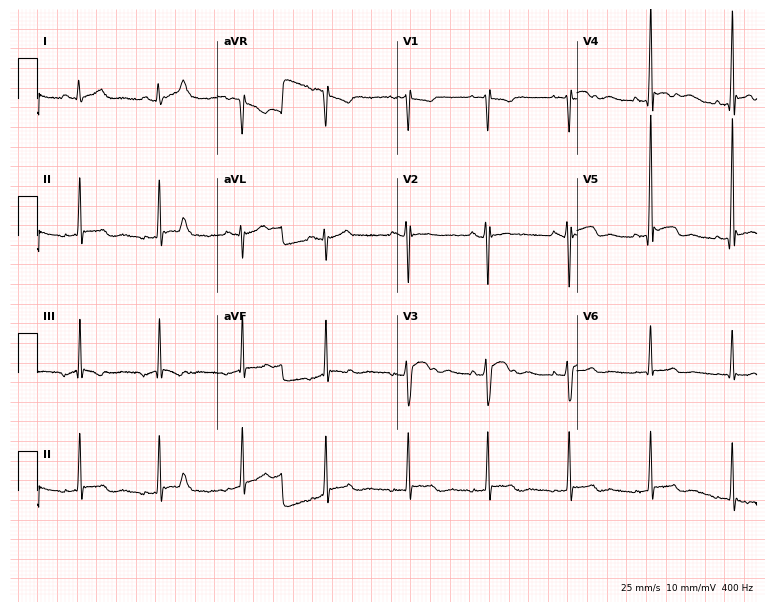
12-lead ECG (7.3-second recording at 400 Hz) from a 22-year-old man. Screened for six findings — first-degree AV block, right bundle branch block, left bundle branch block, sinus bradycardia, atrial fibrillation, sinus tachycardia — none is recorded.